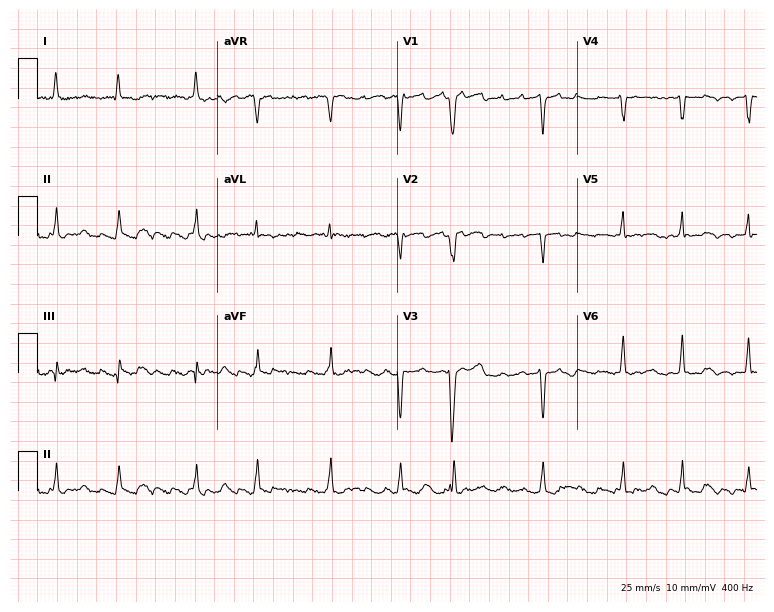
Standard 12-lead ECG recorded from a female patient, 78 years old. The tracing shows atrial fibrillation.